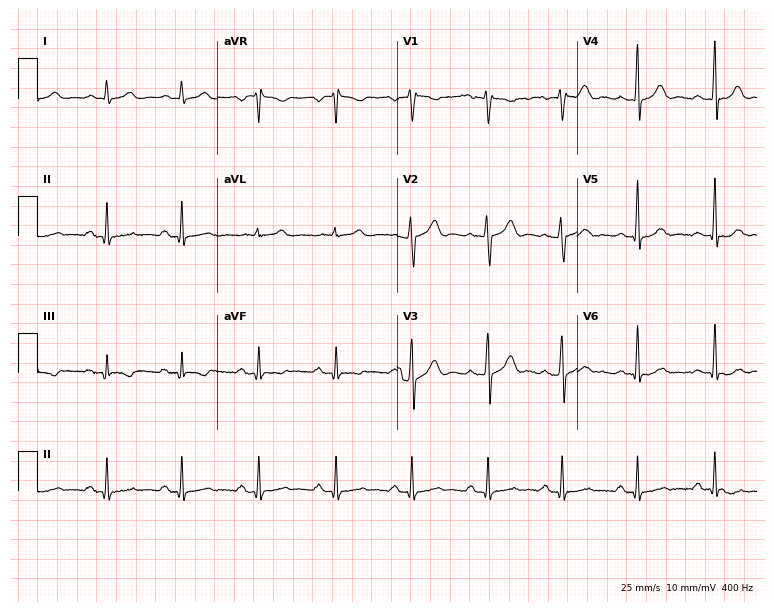
ECG — a male, 53 years old. Screened for six findings — first-degree AV block, right bundle branch block, left bundle branch block, sinus bradycardia, atrial fibrillation, sinus tachycardia — none is recorded.